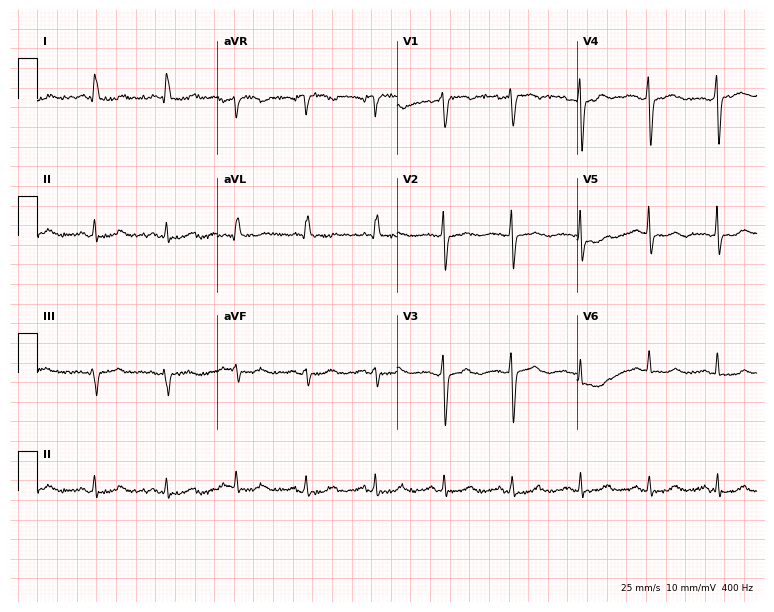
12-lead ECG from a 62-year-old female patient (7.3-second recording at 400 Hz). No first-degree AV block, right bundle branch block (RBBB), left bundle branch block (LBBB), sinus bradycardia, atrial fibrillation (AF) or sinus tachycardia recorded for this tracing.